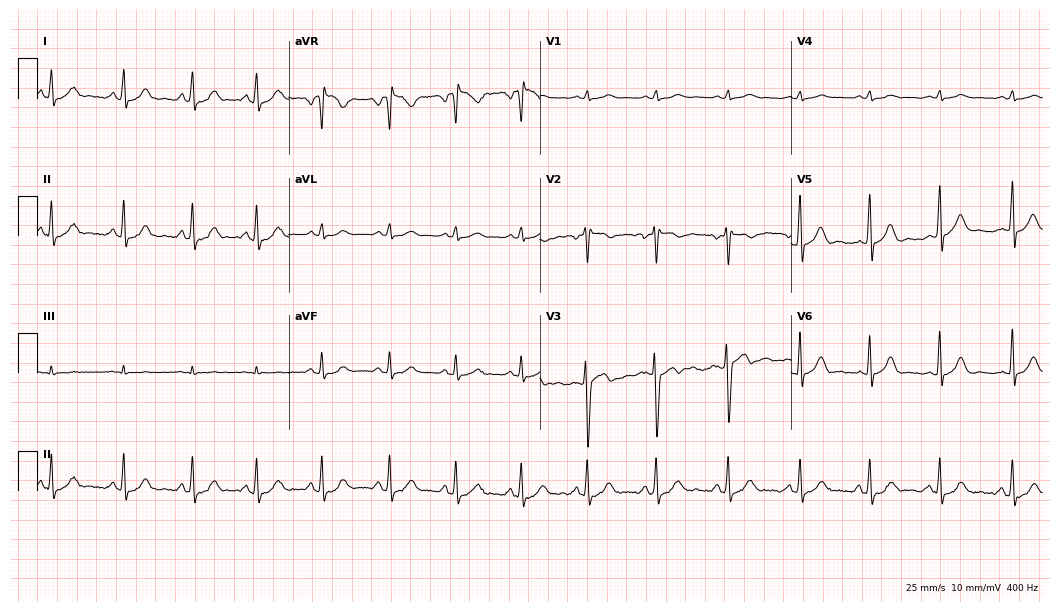
Resting 12-lead electrocardiogram. Patient: a woman, 39 years old. Read as a normal ECG.